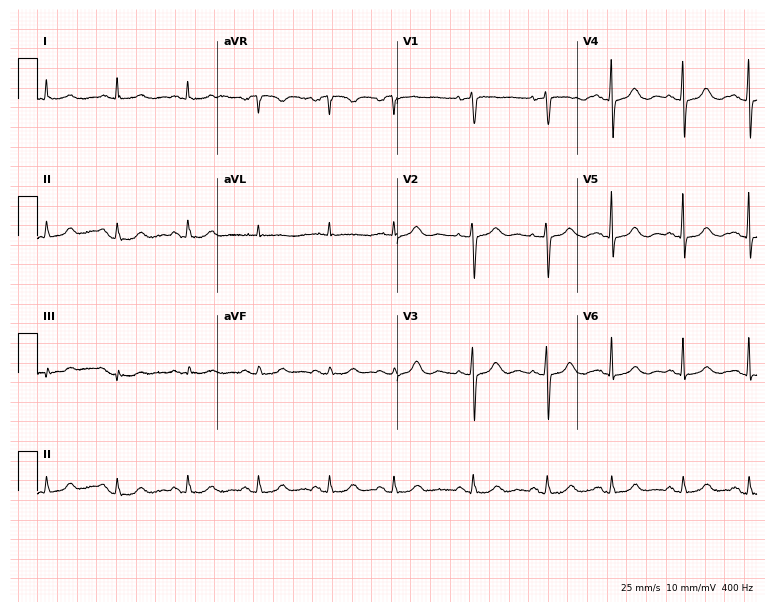
12-lead ECG from a 76-year-old female patient. Recorded interpretation: within normal limits.